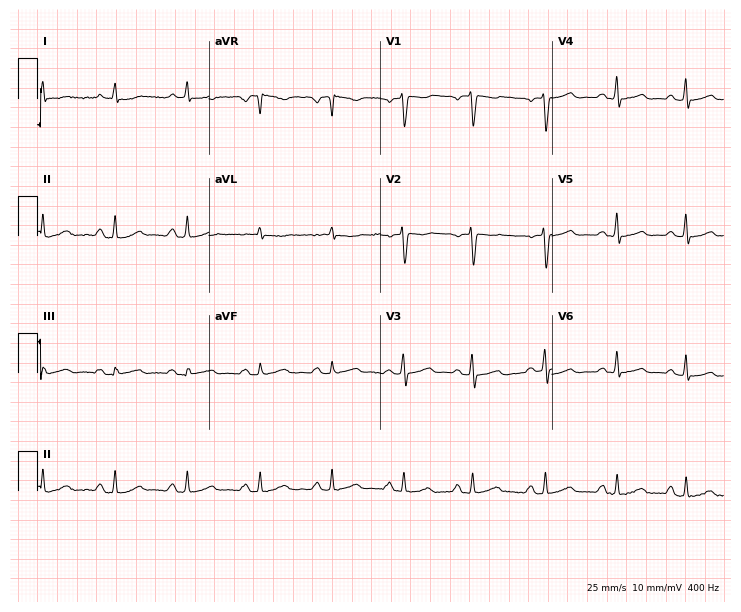
12-lead ECG from a 71-year-old woman. Recorded interpretation: within normal limits.